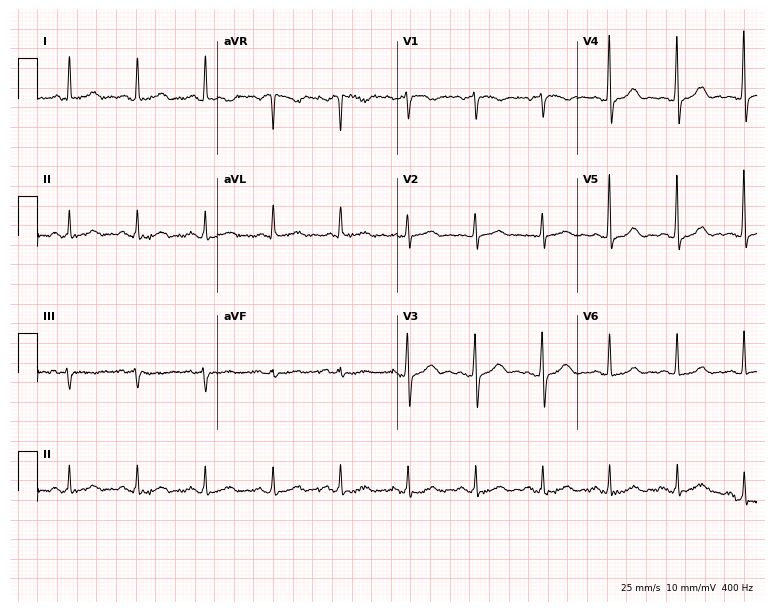
Resting 12-lead electrocardiogram (7.3-second recording at 400 Hz). Patient: a woman, 65 years old. Read as a normal ECG.